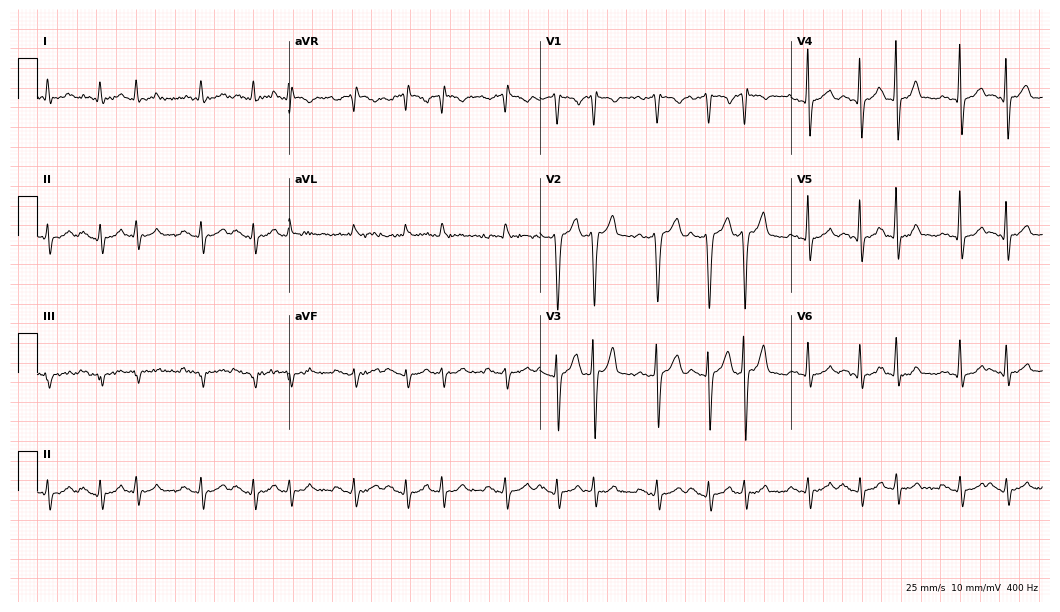
12-lead ECG from a male patient, 84 years old. Findings include sinus tachycardia (a sinus rate of 100 beats per minute or more).